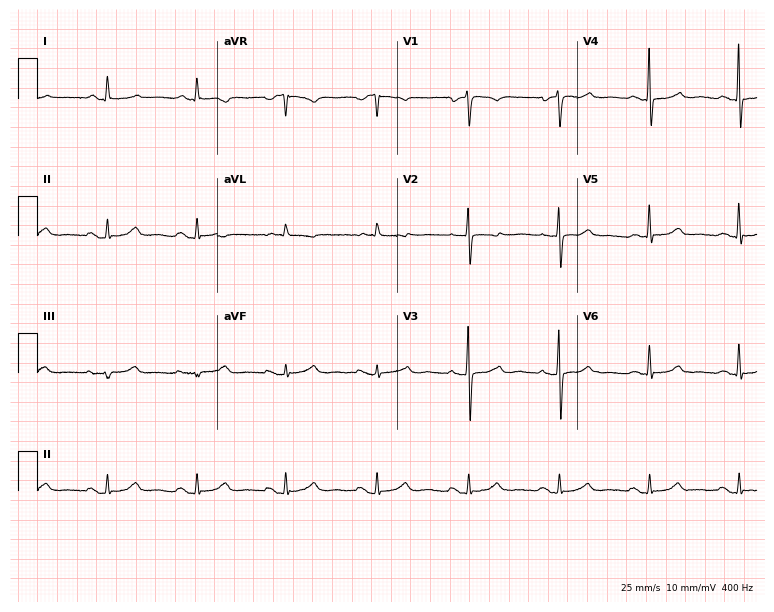
ECG — a female patient, 67 years old. Labelled as a normal ECG.